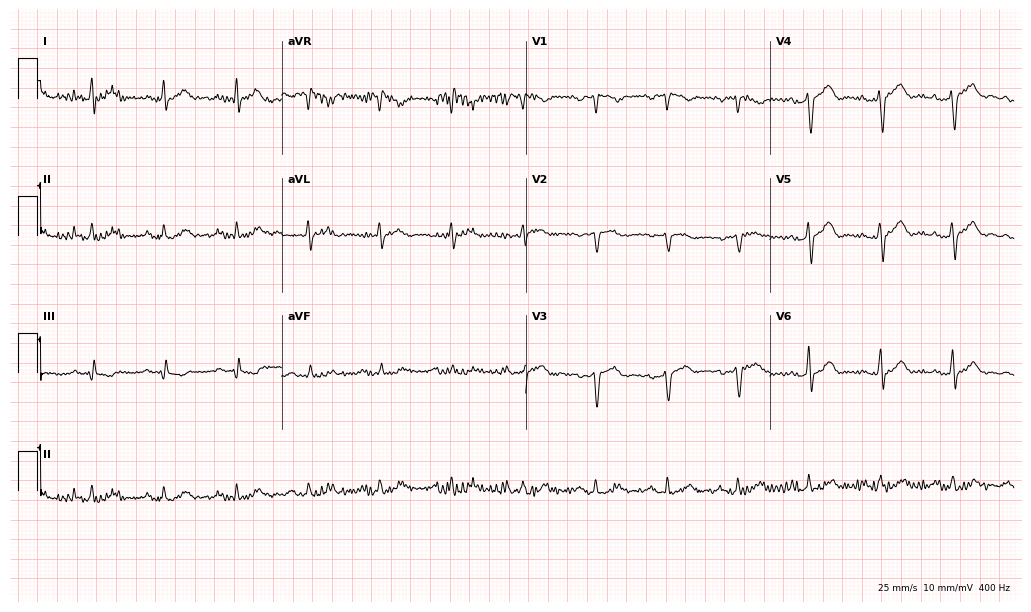
Electrocardiogram, a male, 65 years old. Of the six screened findings (first-degree AV block, right bundle branch block (RBBB), left bundle branch block (LBBB), sinus bradycardia, atrial fibrillation (AF), sinus tachycardia), none is recorded.